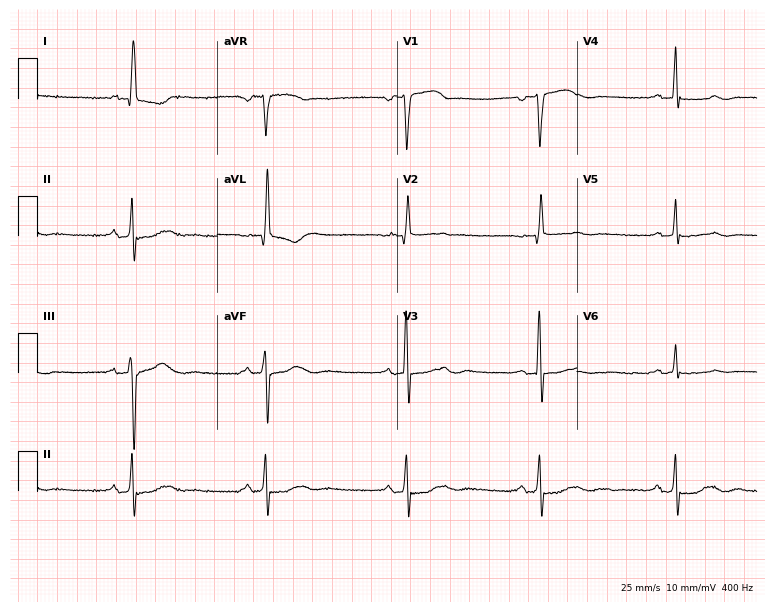
Resting 12-lead electrocardiogram. Patient: a woman, 71 years old. The tracing shows sinus bradycardia (a sinus rate of 50 beats per minute or less).